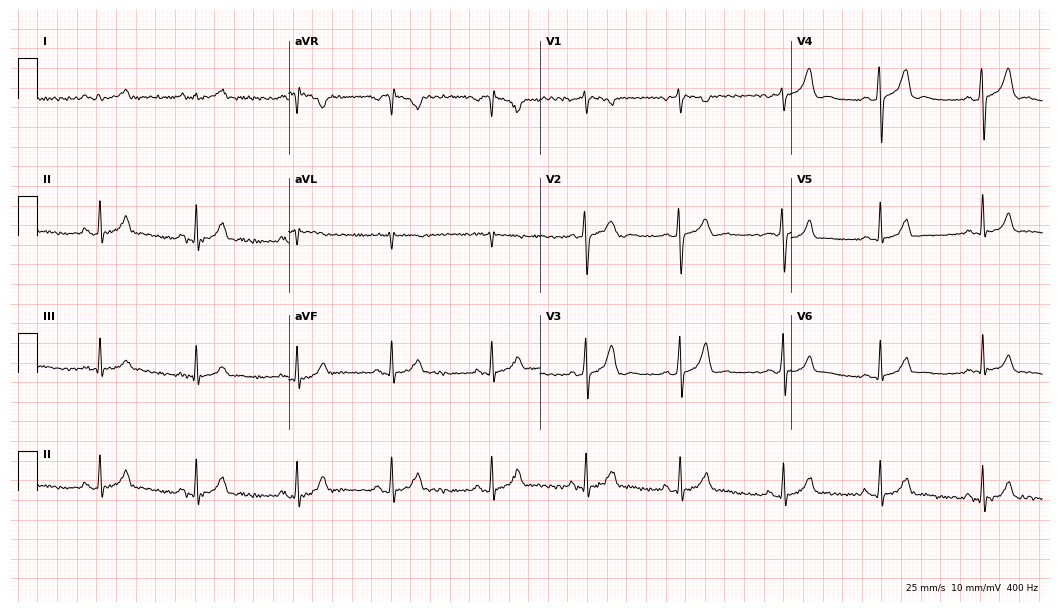
Electrocardiogram (10.2-second recording at 400 Hz), a female patient, 19 years old. Overall reading on record: normal ECG.